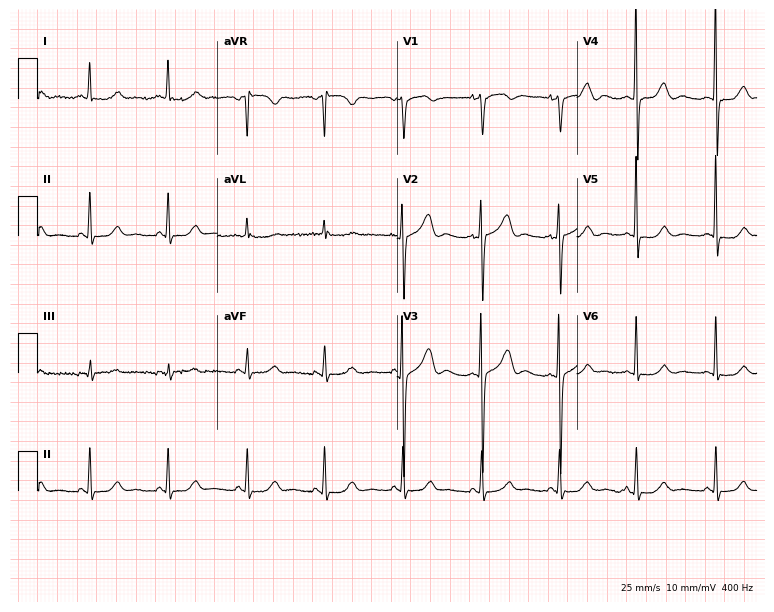
ECG (7.3-second recording at 400 Hz) — a female patient, 75 years old. Screened for six findings — first-degree AV block, right bundle branch block (RBBB), left bundle branch block (LBBB), sinus bradycardia, atrial fibrillation (AF), sinus tachycardia — none is recorded.